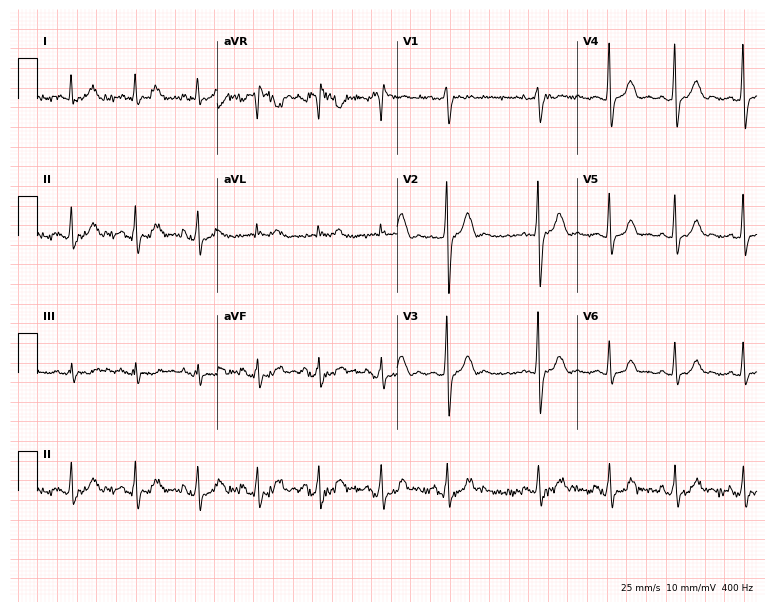
Standard 12-lead ECG recorded from a male patient, 38 years old (7.3-second recording at 400 Hz). Read as a normal ECG.